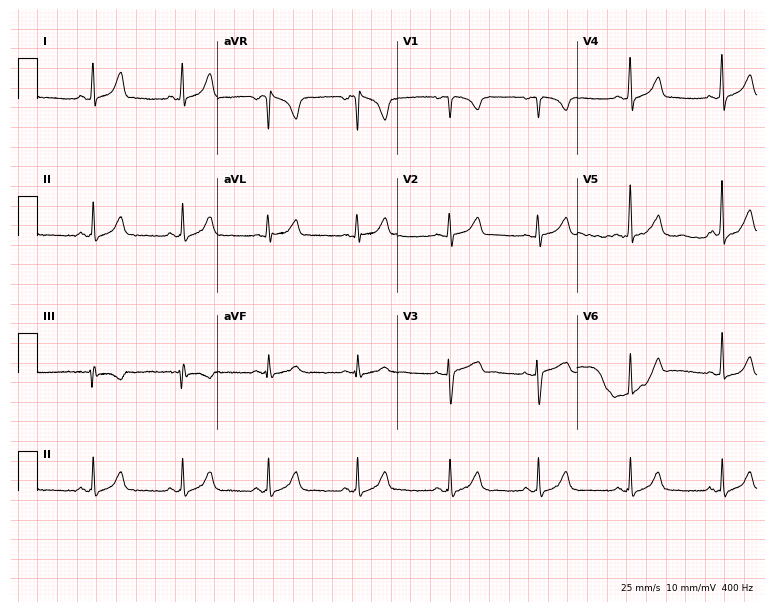
Resting 12-lead electrocardiogram. Patient: a woman, 40 years old. Read as a normal ECG.